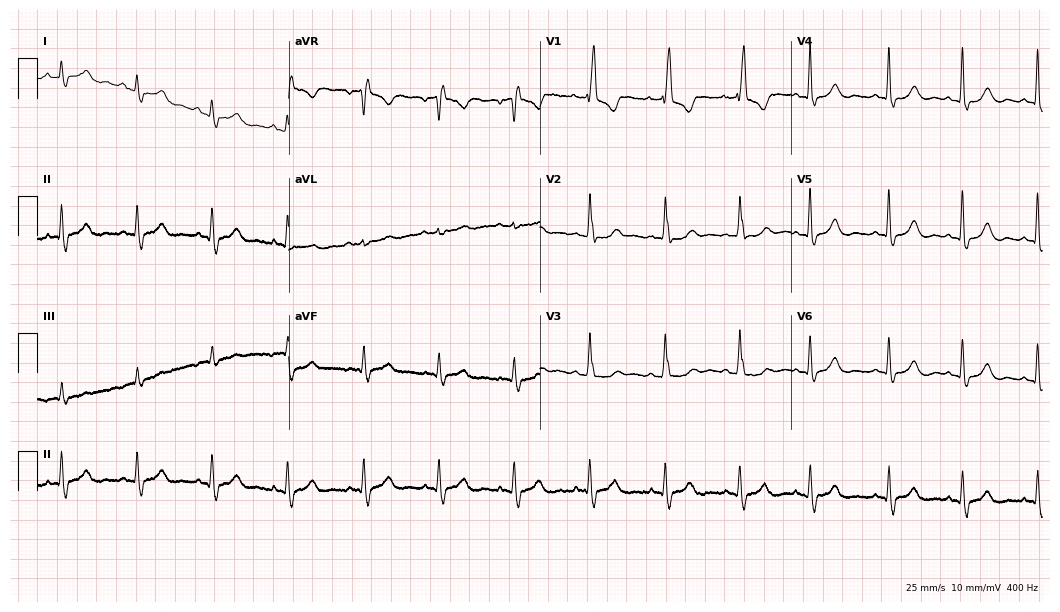
Standard 12-lead ECG recorded from a female, 67 years old. The tracing shows right bundle branch block.